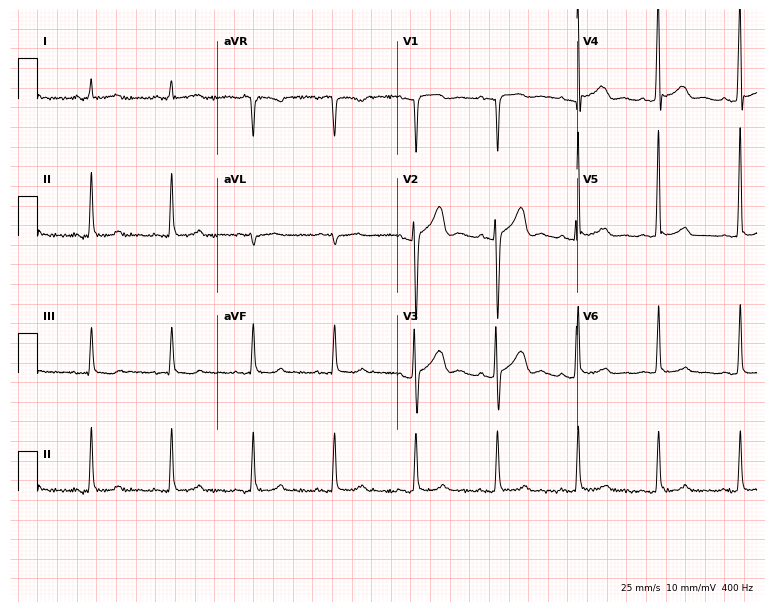
Resting 12-lead electrocardiogram. Patient: a male, 78 years old. Read as a normal ECG.